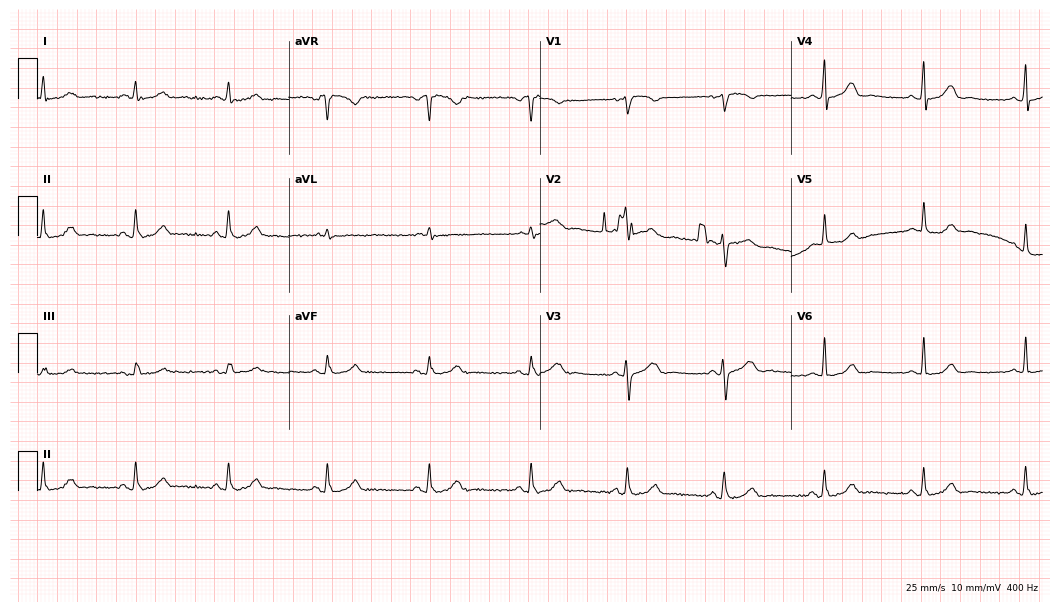
12-lead ECG (10.2-second recording at 400 Hz) from a female, 47 years old. Screened for six findings — first-degree AV block, right bundle branch block, left bundle branch block, sinus bradycardia, atrial fibrillation, sinus tachycardia — none is recorded.